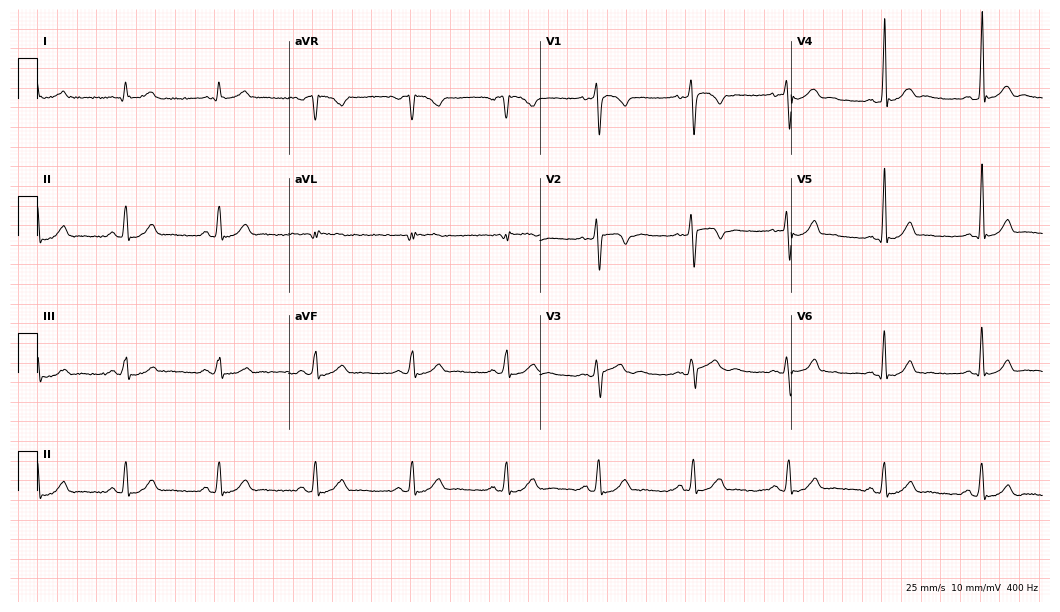
ECG (10.2-second recording at 400 Hz) — a male, 24 years old. Screened for six findings — first-degree AV block, right bundle branch block, left bundle branch block, sinus bradycardia, atrial fibrillation, sinus tachycardia — none is recorded.